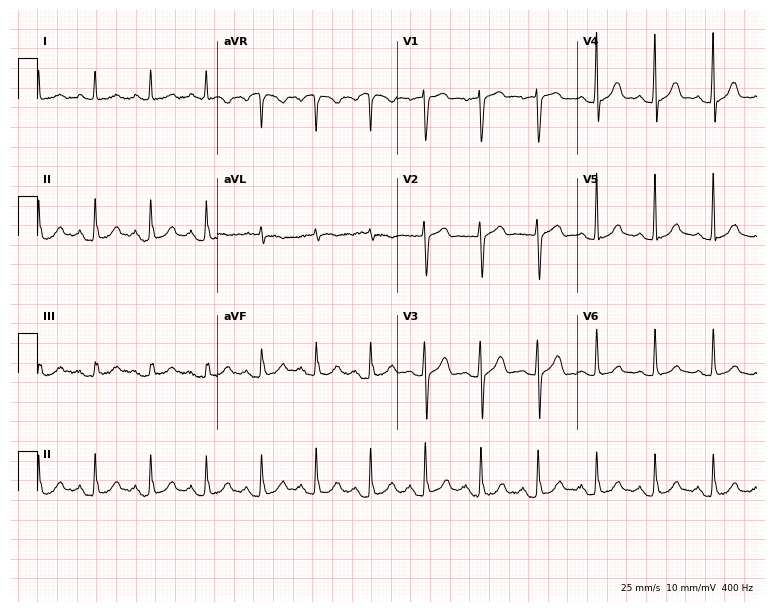
ECG — a 69-year-old man. Screened for six findings — first-degree AV block, right bundle branch block (RBBB), left bundle branch block (LBBB), sinus bradycardia, atrial fibrillation (AF), sinus tachycardia — none is recorded.